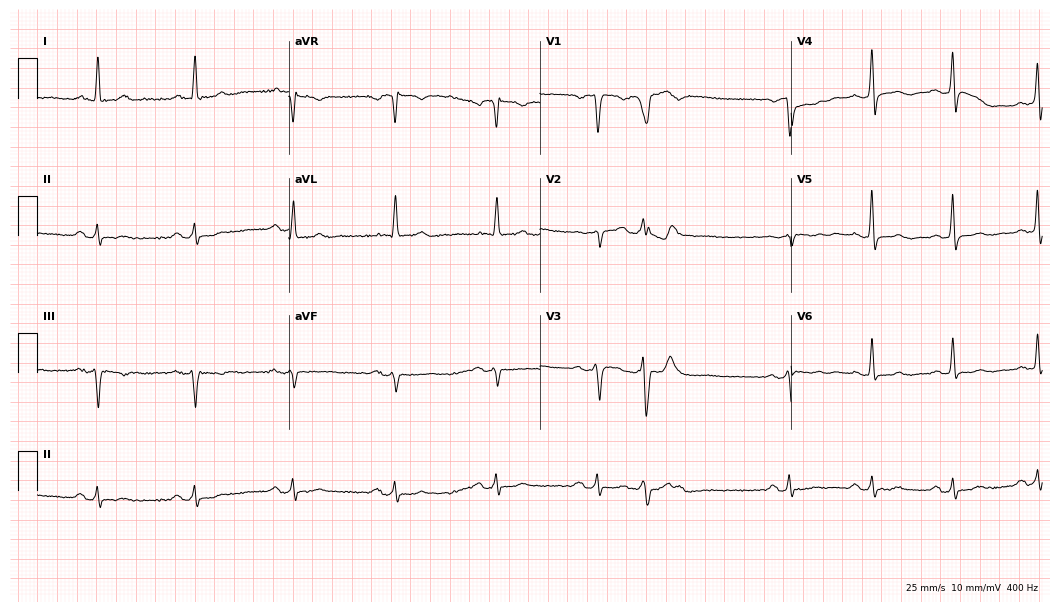
Standard 12-lead ECG recorded from a 68-year-old man (10.2-second recording at 400 Hz). None of these six findings is recorded: first-degree AV block, right bundle branch block, left bundle branch block, sinus bradycardia, atrial fibrillation, sinus tachycardia.